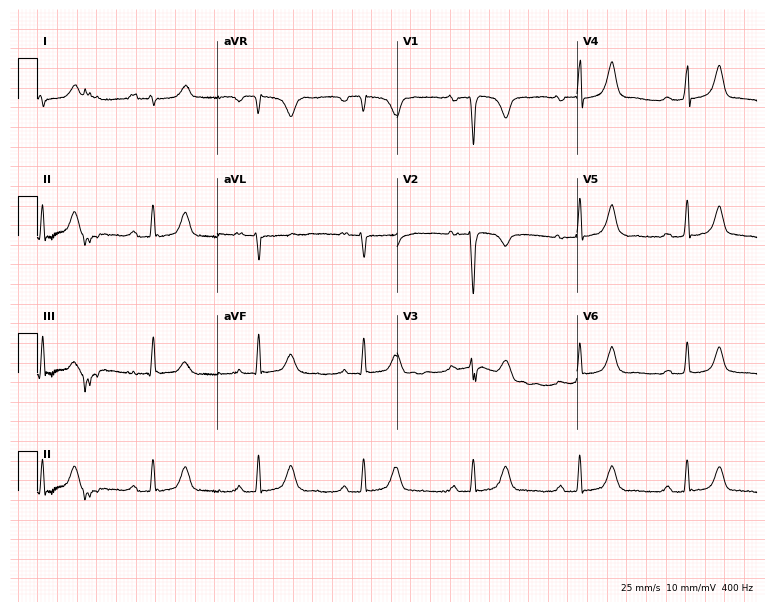
Standard 12-lead ECG recorded from a female patient, 25 years old (7.3-second recording at 400 Hz). Read as a normal ECG.